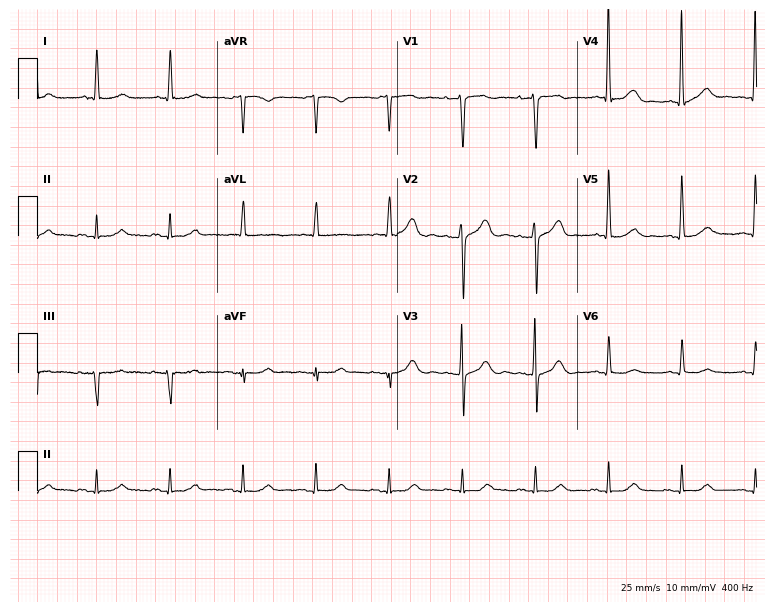
Standard 12-lead ECG recorded from a woman, 85 years old. Read as a normal ECG.